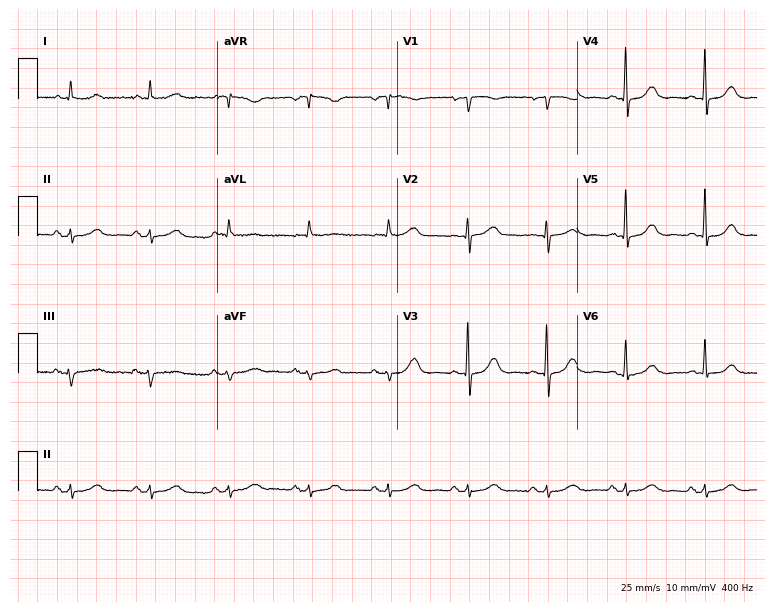
Resting 12-lead electrocardiogram (7.3-second recording at 400 Hz). Patient: a 79-year-old female. Read as a normal ECG.